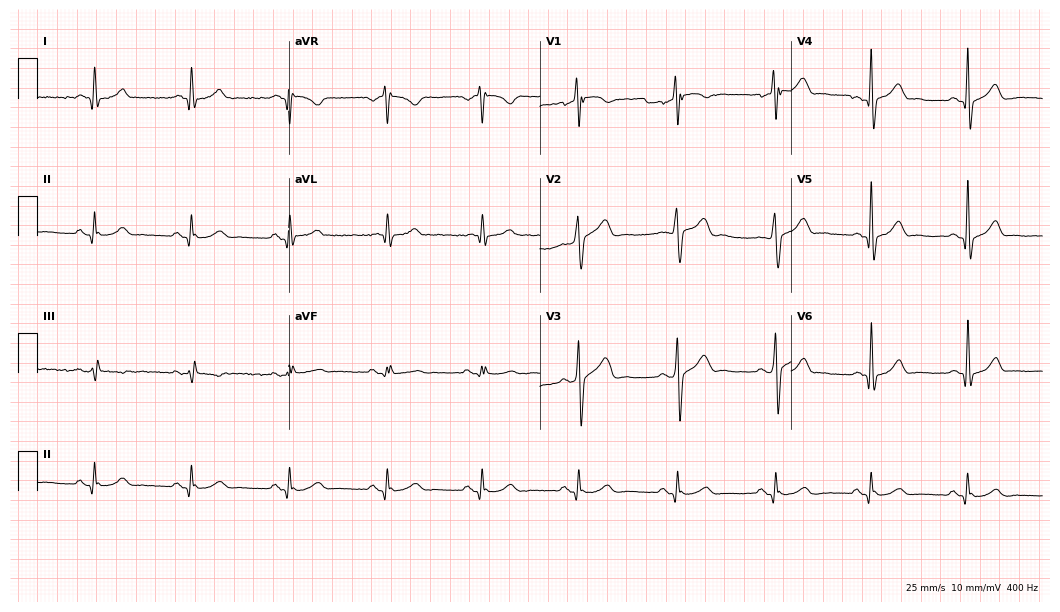
Resting 12-lead electrocardiogram. Patient: a male, 53 years old. None of these six findings is recorded: first-degree AV block, right bundle branch block, left bundle branch block, sinus bradycardia, atrial fibrillation, sinus tachycardia. Findings outside these six are not listed.